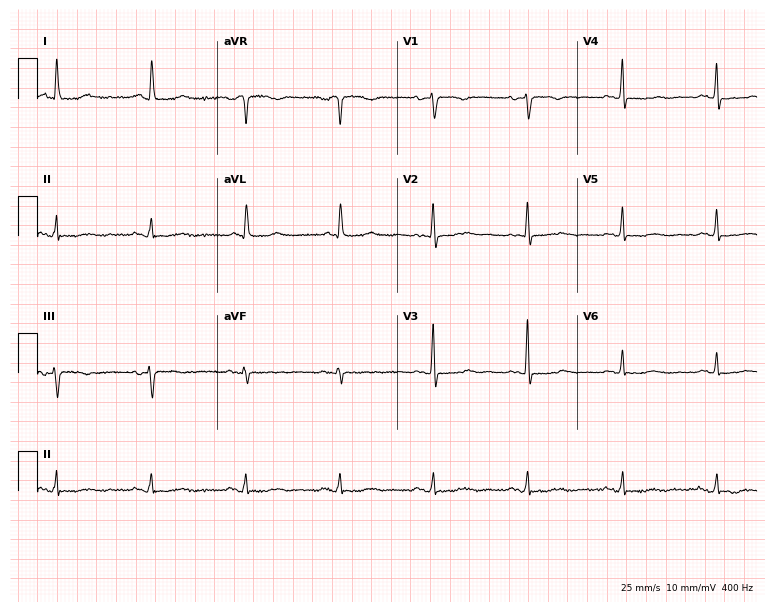
12-lead ECG from a 76-year-old female. Screened for six findings — first-degree AV block, right bundle branch block (RBBB), left bundle branch block (LBBB), sinus bradycardia, atrial fibrillation (AF), sinus tachycardia — none is recorded. Other findings, if any, are not listed.